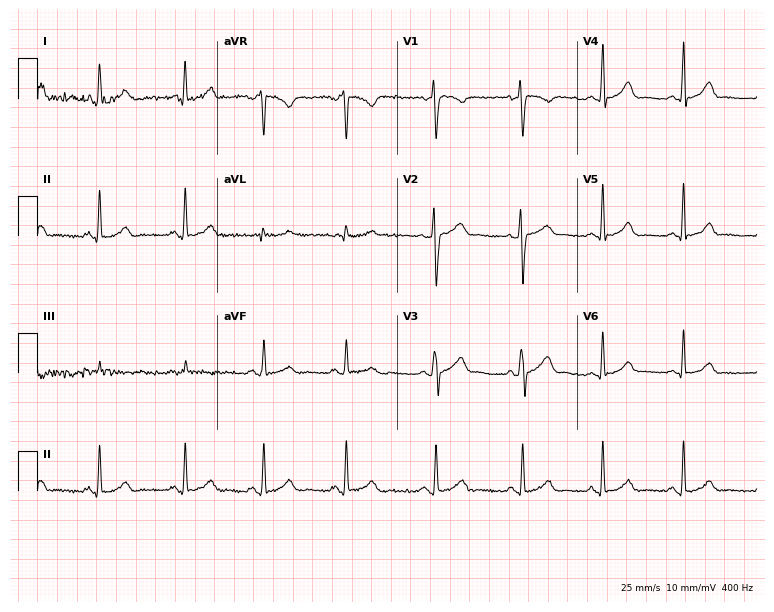
12-lead ECG from a woman, 40 years old (7.3-second recording at 400 Hz). Recorded interpretation: within normal limits.